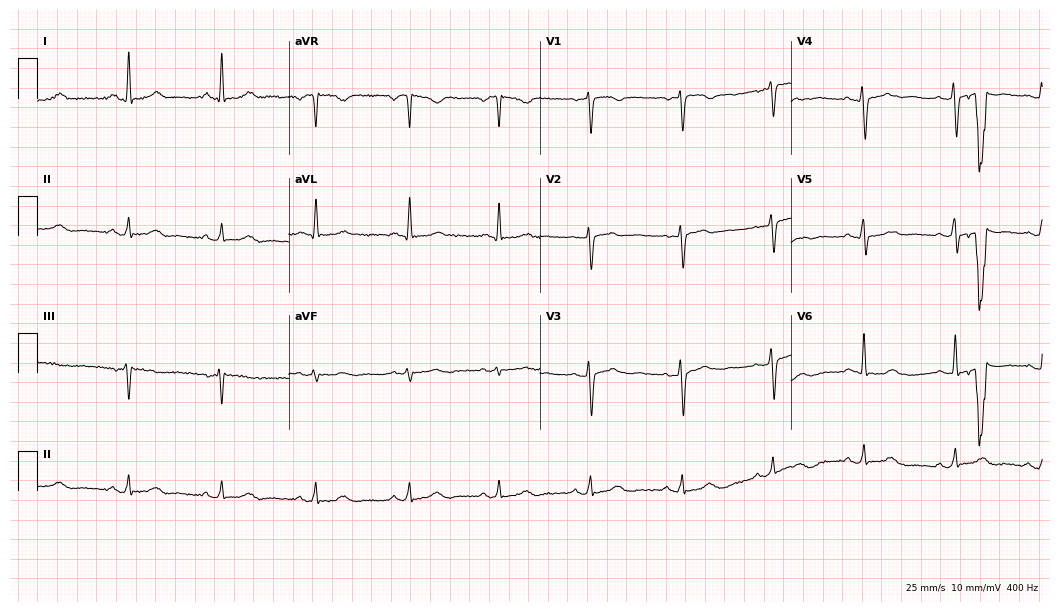
12-lead ECG from a woman, 51 years old (10.2-second recording at 400 Hz). Recorded interpretation: within normal limits.